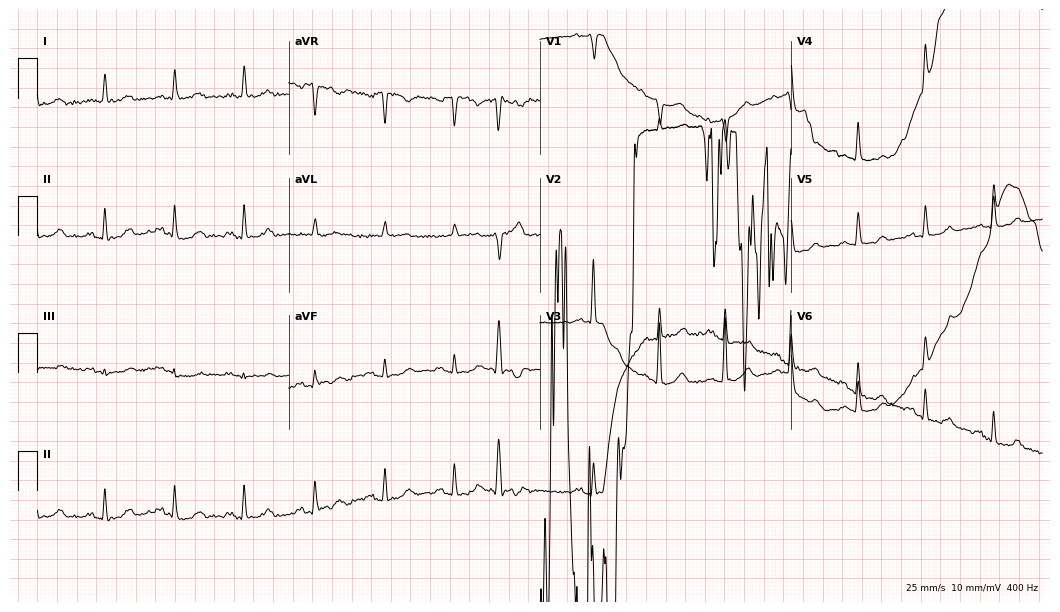
12-lead ECG (10.2-second recording at 400 Hz) from a male patient, 70 years old. Screened for six findings — first-degree AV block, right bundle branch block, left bundle branch block, sinus bradycardia, atrial fibrillation, sinus tachycardia — none is recorded. Findings outside these six are not listed.